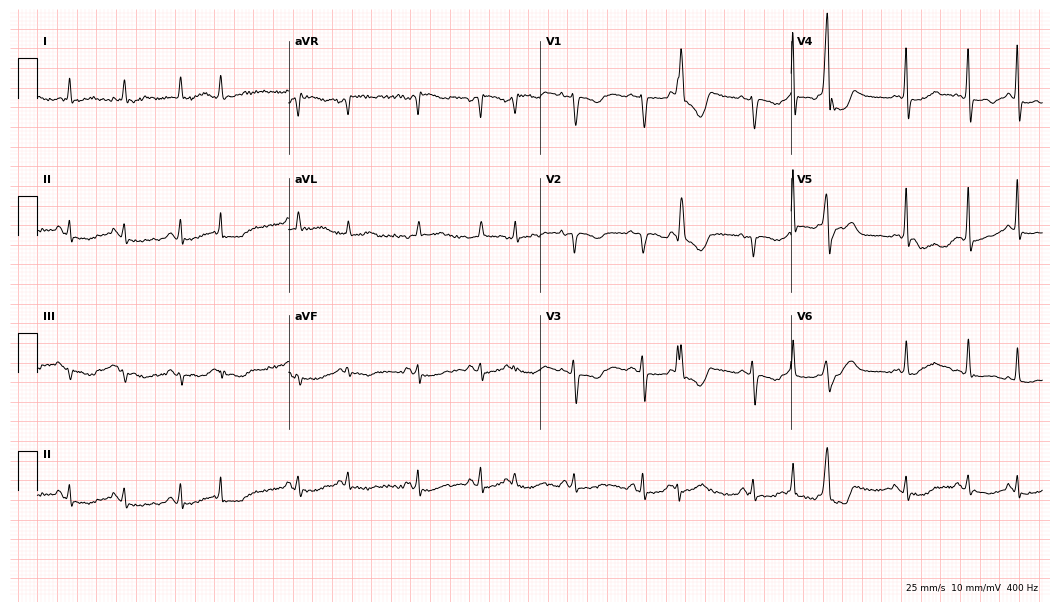
12-lead ECG (10.2-second recording at 400 Hz) from an 81-year-old woman. Screened for six findings — first-degree AV block, right bundle branch block, left bundle branch block, sinus bradycardia, atrial fibrillation, sinus tachycardia — none is recorded.